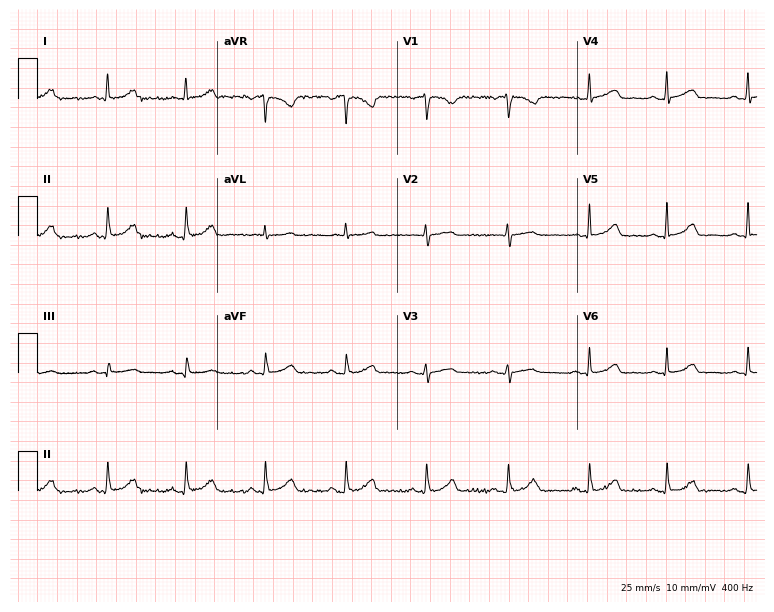
ECG — a woman, 39 years old. Labelled as a normal ECG.